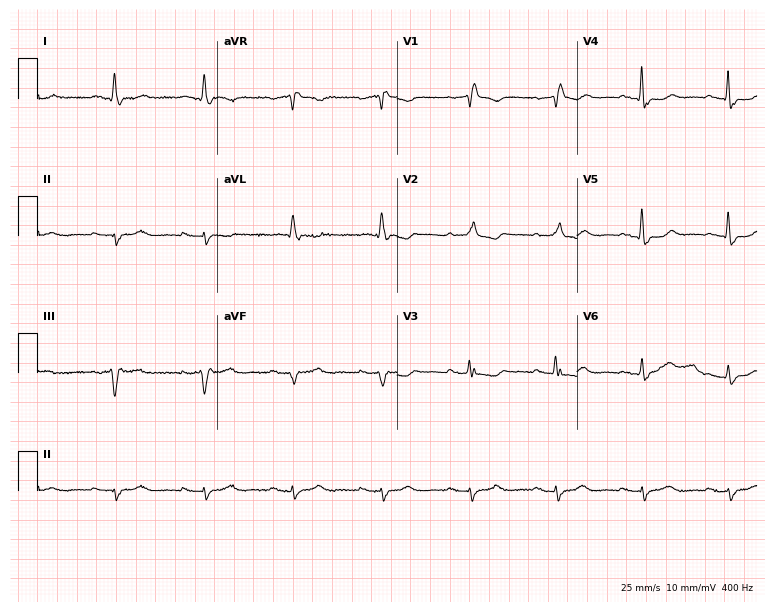
12-lead ECG (7.3-second recording at 400 Hz) from a female, 79 years old. Findings include right bundle branch block (RBBB).